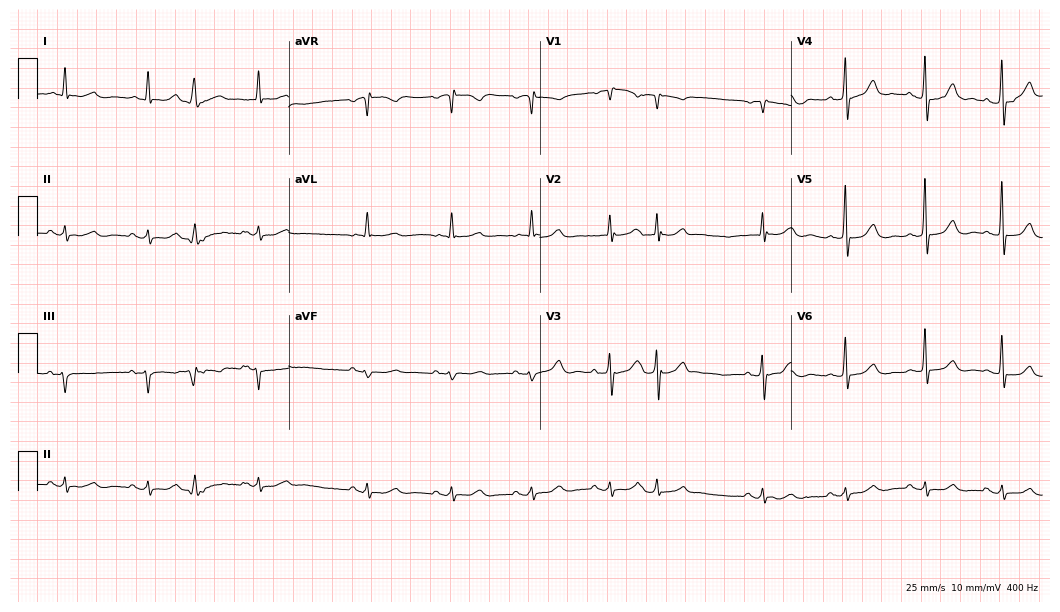
ECG (10.2-second recording at 400 Hz) — an 84-year-old man. Screened for six findings — first-degree AV block, right bundle branch block (RBBB), left bundle branch block (LBBB), sinus bradycardia, atrial fibrillation (AF), sinus tachycardia — none is recorded.